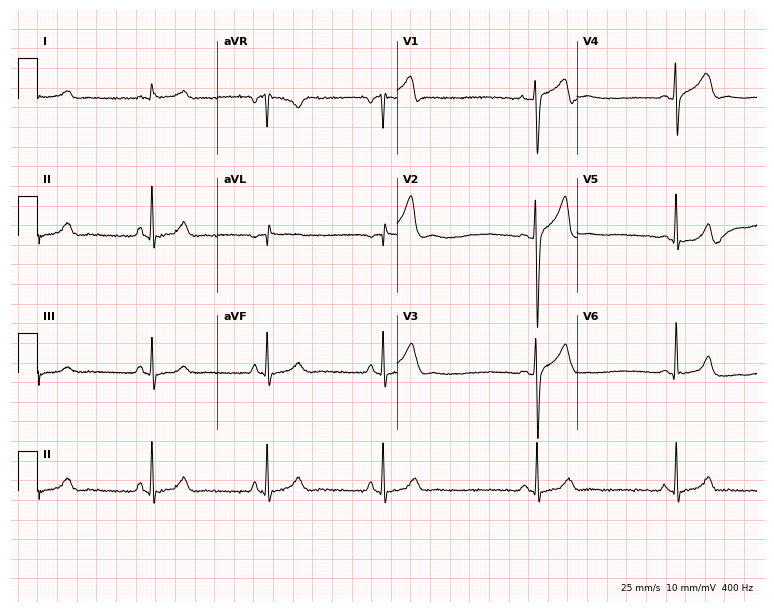
12-lead ECG from a male patient, 29 years old. No first-degree AV block, right bundle branch block, left bundle branch block, sinus bradycardia, atrial fibrillation or sinus tachycardia recorded for this tracing. Only these six findings were labelled.